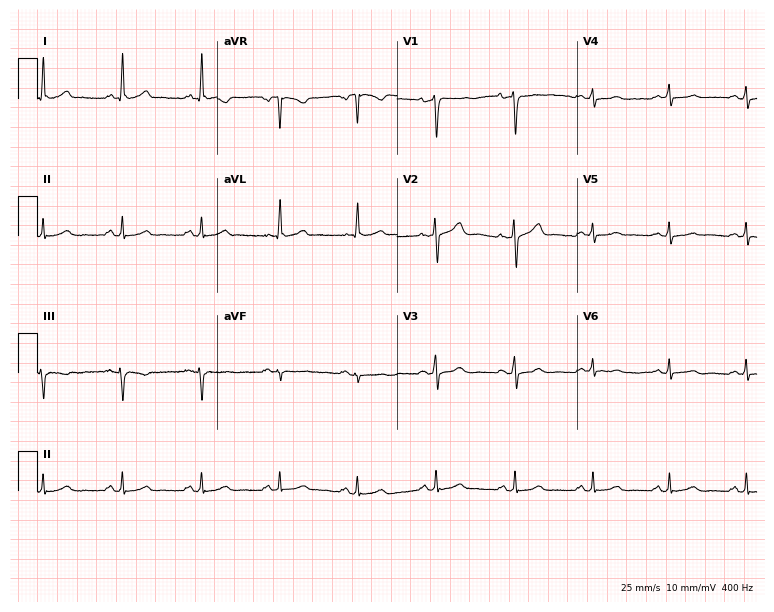
12-lead ECG (7.3-second recording at 400 Hz) from a woman, 52 years old. Labelled as a normal ECG.